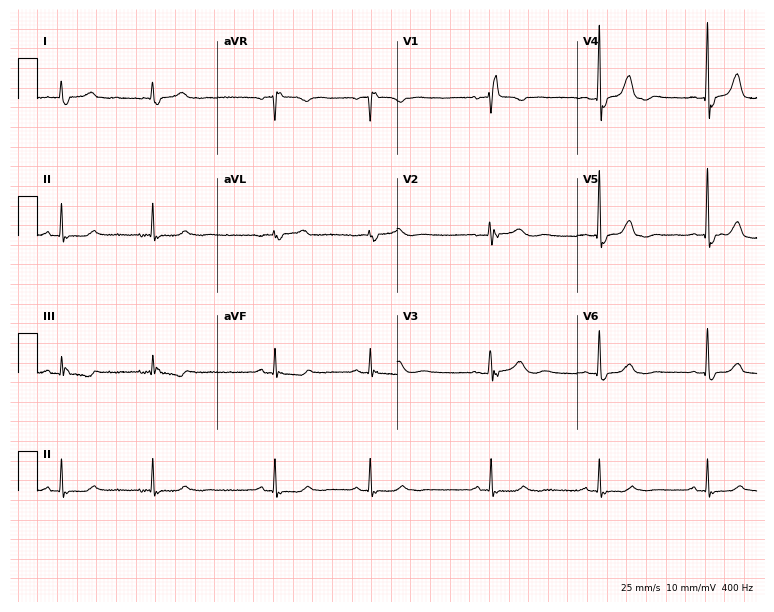
ECG (7.3-second recording at 400 Hz) — a female, 79 years old. Findings include right bundle branch block (RBBB).